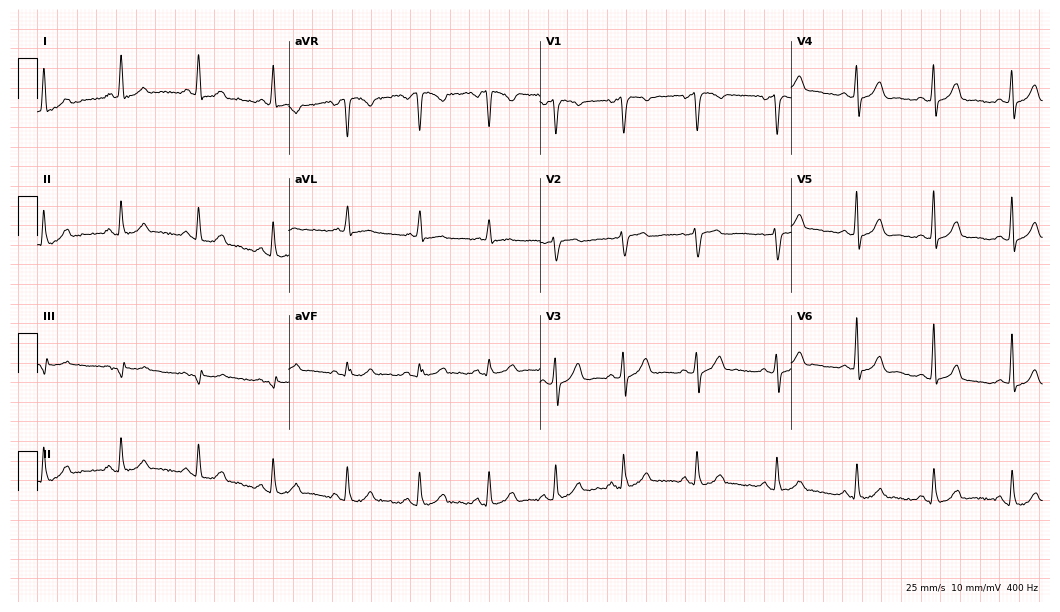
Resting 12-lead electrocardiogram (10.2-second recording at 400 Hz). Patient: a 34-year-old female. Read as a normal ECG.